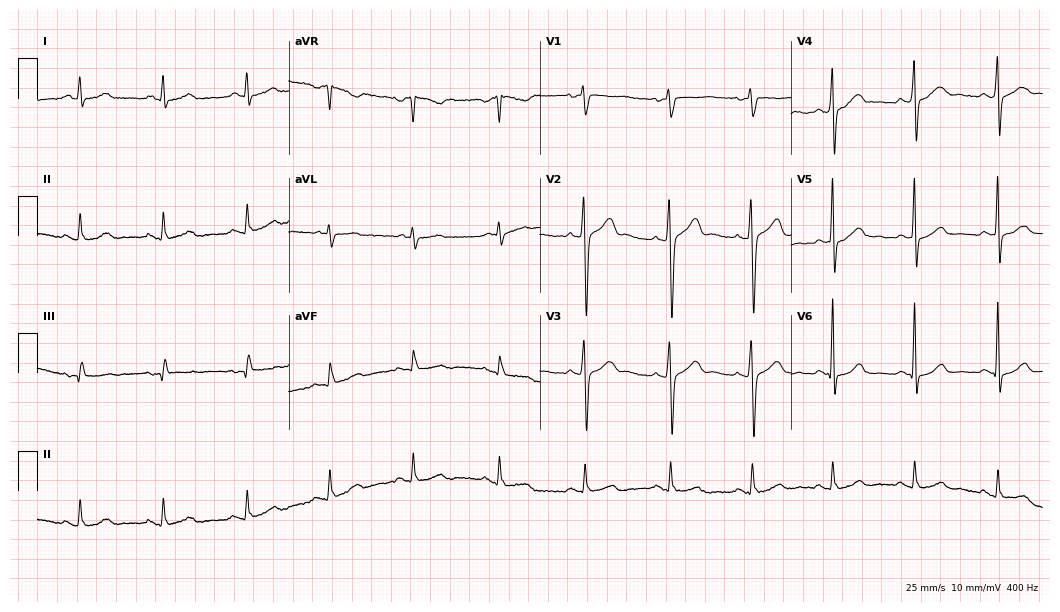
12-lead ECG from a male, 41 years old. Recorded interpretation: within normal limits.